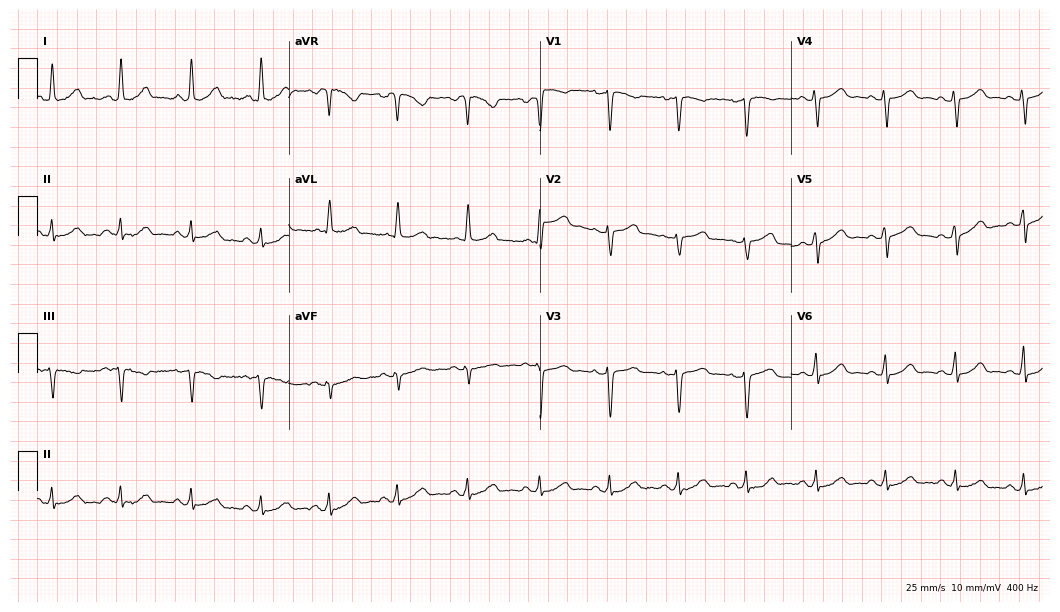
Electrocardiogram, a female, 38 years old. Overall reading on record: normal ECG.